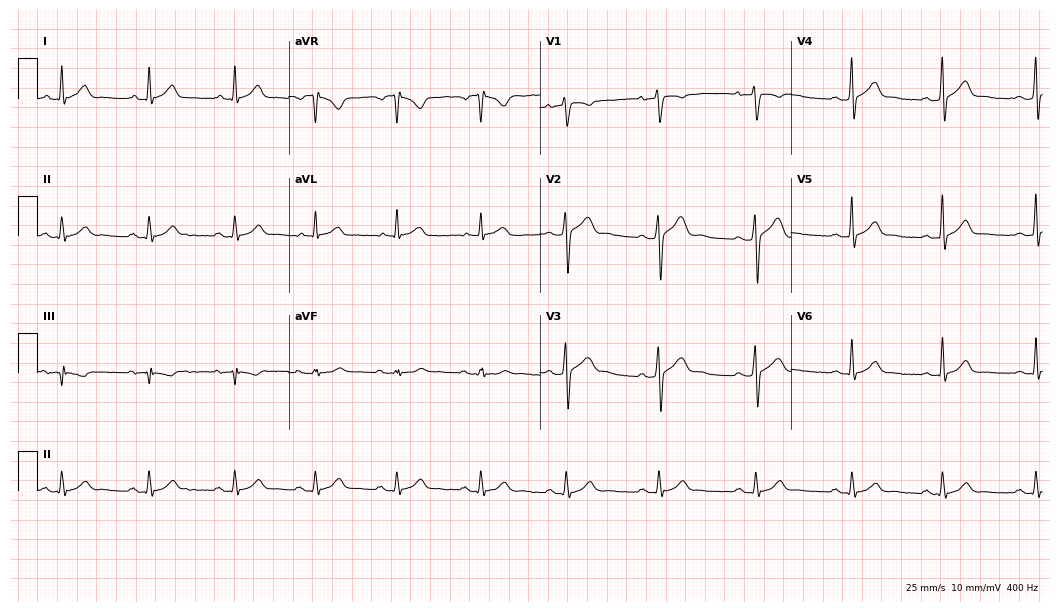
12-lead ECG from a man, 33 years old. Labelled as a normal ECG.